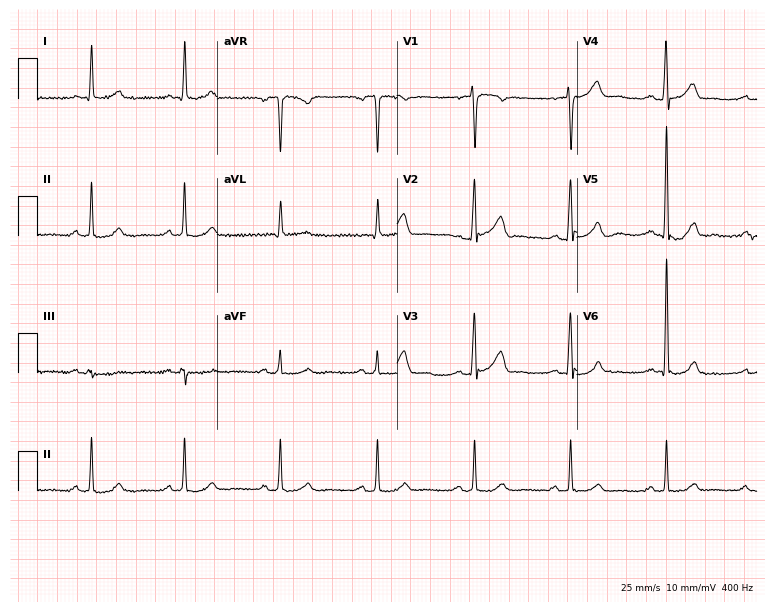
ECG (7.3-second recording at 400 Hz) — a female, 59 years old. Screened for six findings — first-degree AV block, right bundle branch block, left bundle branch block, sinus bradycardia, atrial fibrillation, sinus tachycardia — none is recorded.